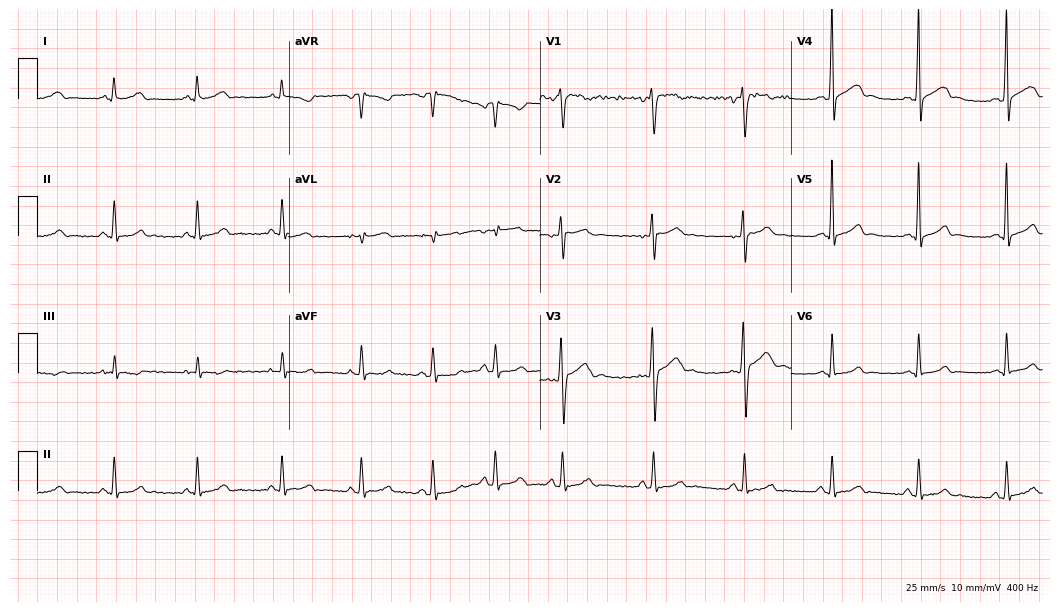
12-lead ECG from a male, 28 years old. Labelled as a normal ECG.